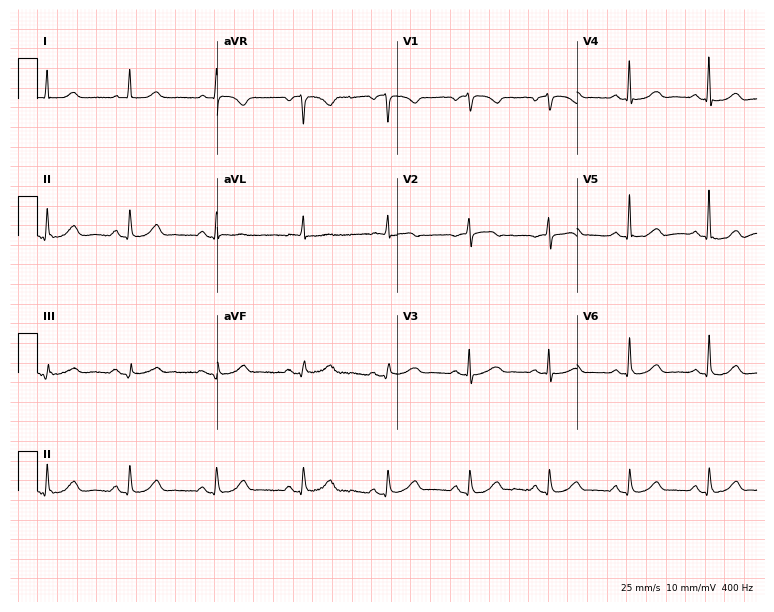
12-lead ECG from a 75-year-old woman (7.3-second recording at 400 Hz). Recorded interpretation: within normal limits.